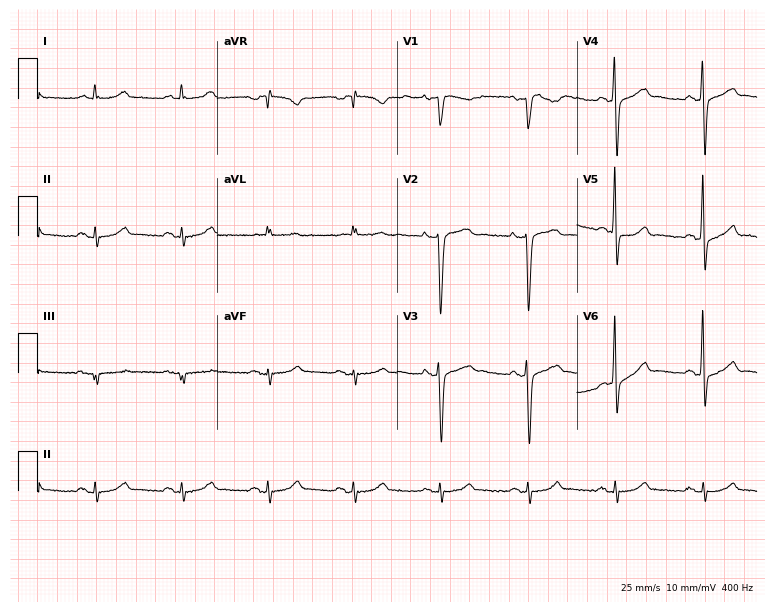
12-lead ECG from a 76-year-old male. Screened for six findings — first-degree AV block, right bundle branch block, left bundle branch block, sinus bradycardia, atrial fibrillation, sinus tachycardia — none is recorded.